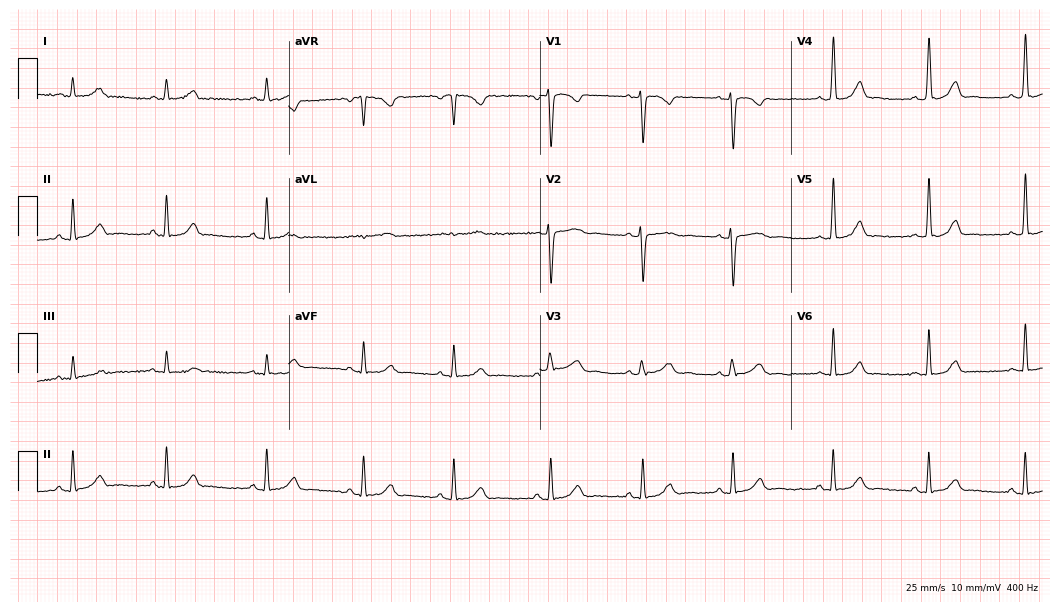
ECG (10.2-second recording at 400 Hz) — a woman, 38 years old. Labelled as a normal ECG.